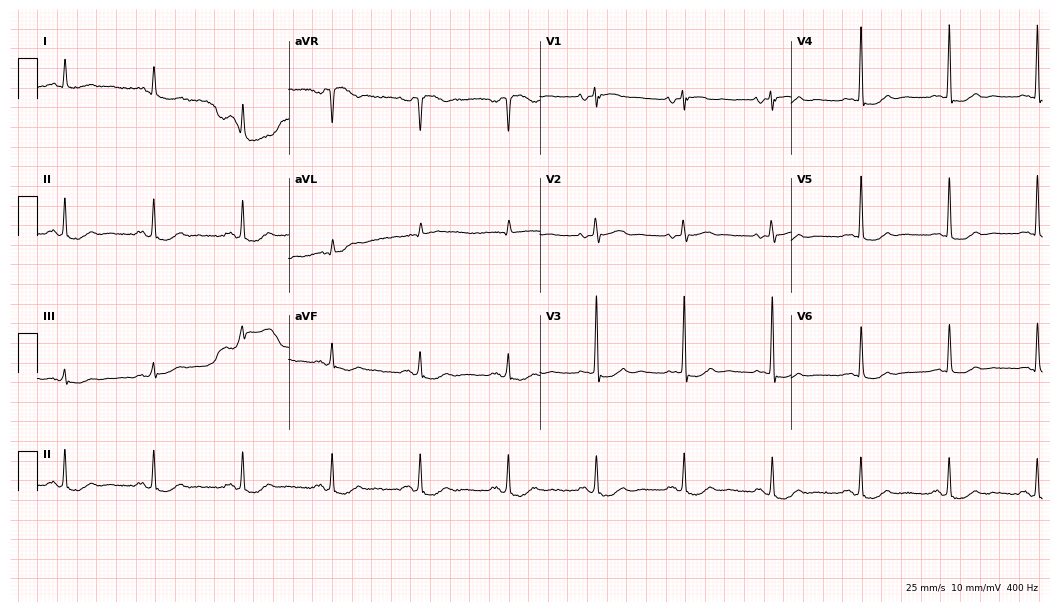
Electrocardiogram, a female patient, 78 years old. Of the six screened findings (first-degree AV block, right bundle branch block, left bundle branch block, sinus bradycardia, atrial fibrillation, sinus tachycardia), none is recorded.